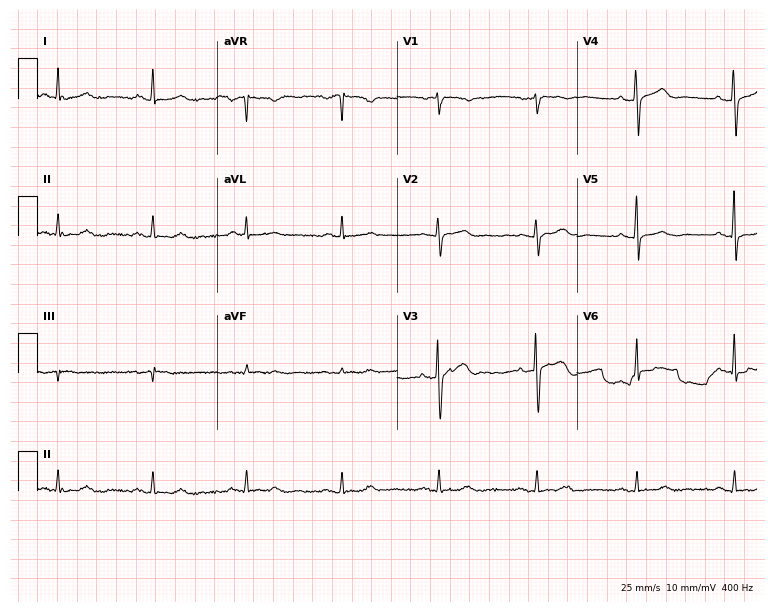
ECG — a 64-year-old woman. Labelled as a normal ECG.